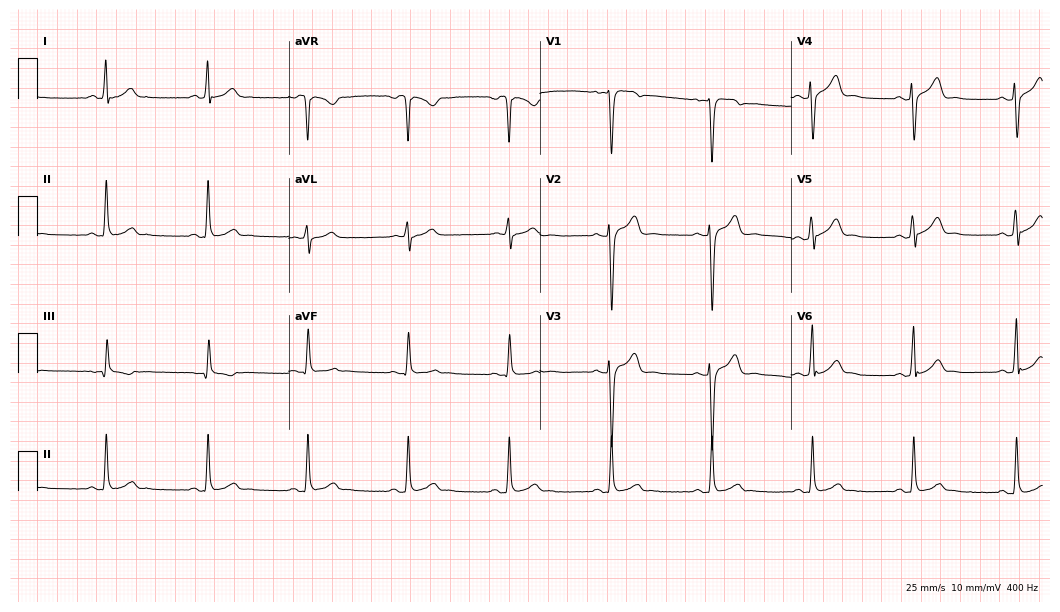
Resting 12-lead electrocardiogram (10.2-second recording at 400 Hz). Patient: a male, 22 years old. Read as a normal ECG.